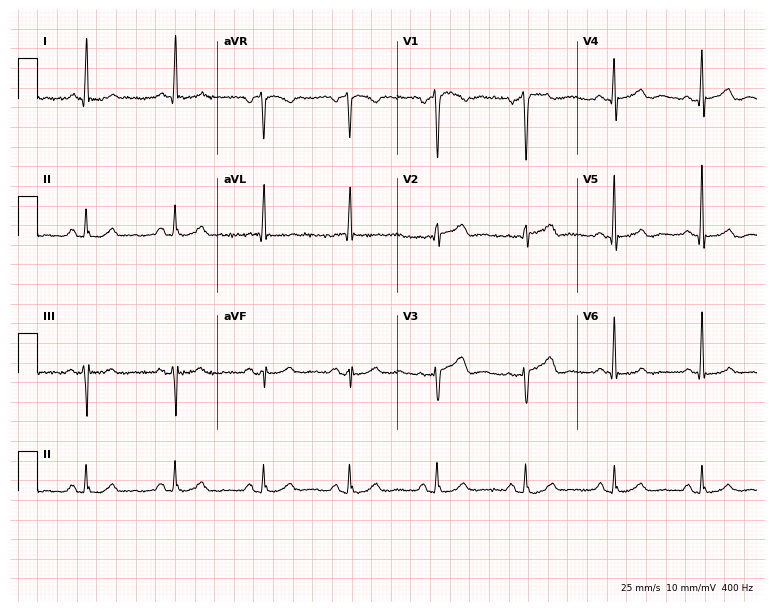
ECG (7.3-second recording at 400 Hz) — a female, 61 years old. Labelled as a normal ECG.